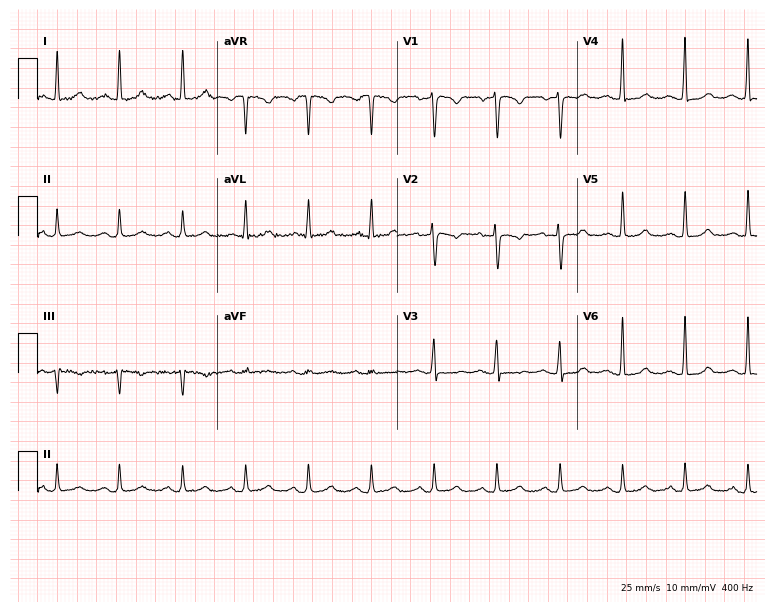
ECG (7.3-second recording at 400 Hz) — a female patient, 47 years old. Labelled as a normal ECG.